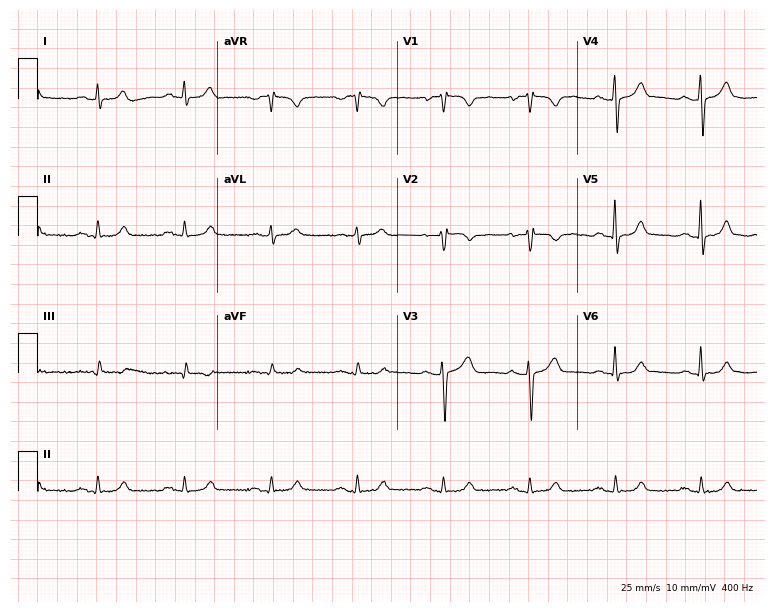
Standard 12-lead ECG recorded from a 64-year-old male patient (7.3-second recording at 400 Hz). Read as a normal ECG.